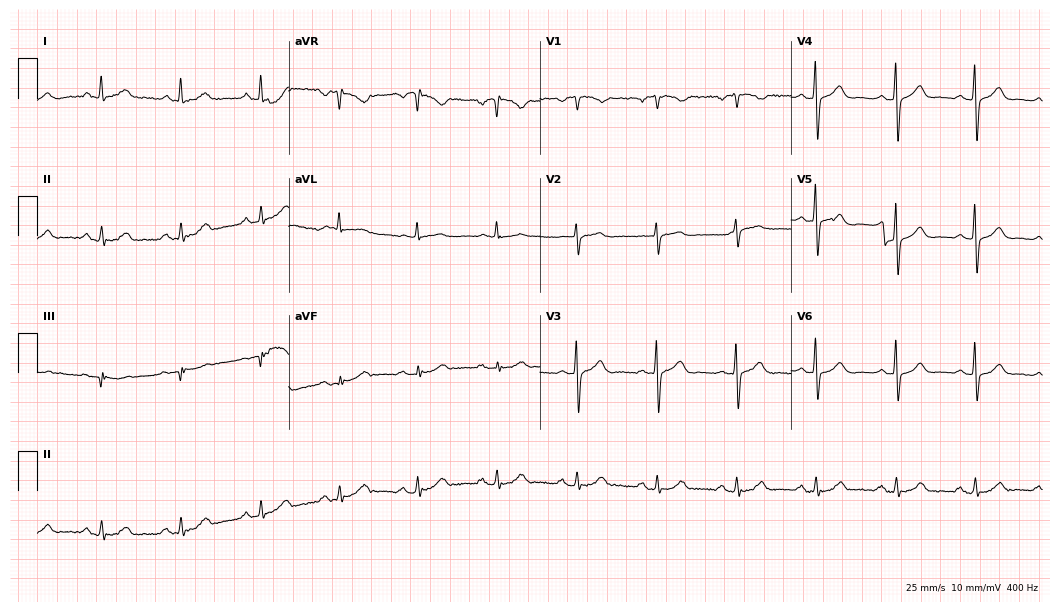
Resting 12-lead electrocardiogram. Patient: a female, 59 years old. Read as a normal ECG.